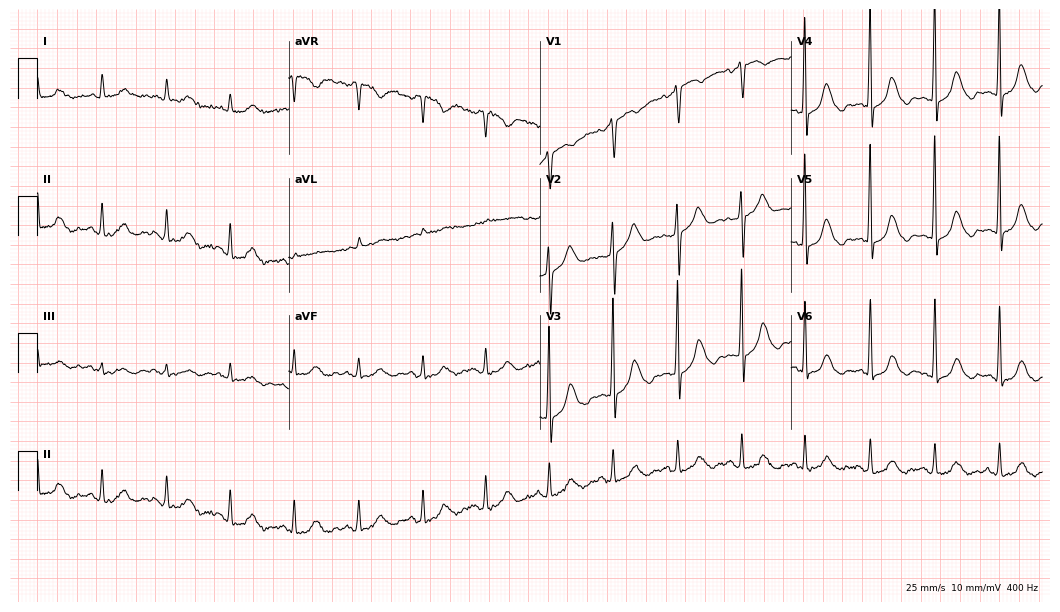
ECG (10.2-second recording at 400 Hz) — a 73-year-old woman. Screened for six findings — first-degree AV block, right bundle branch block (RBBB), left bundle branch block (LBBB), sinus bradycardia, atrial fibrillation (AF), sinus tachycardia — none is recorded.